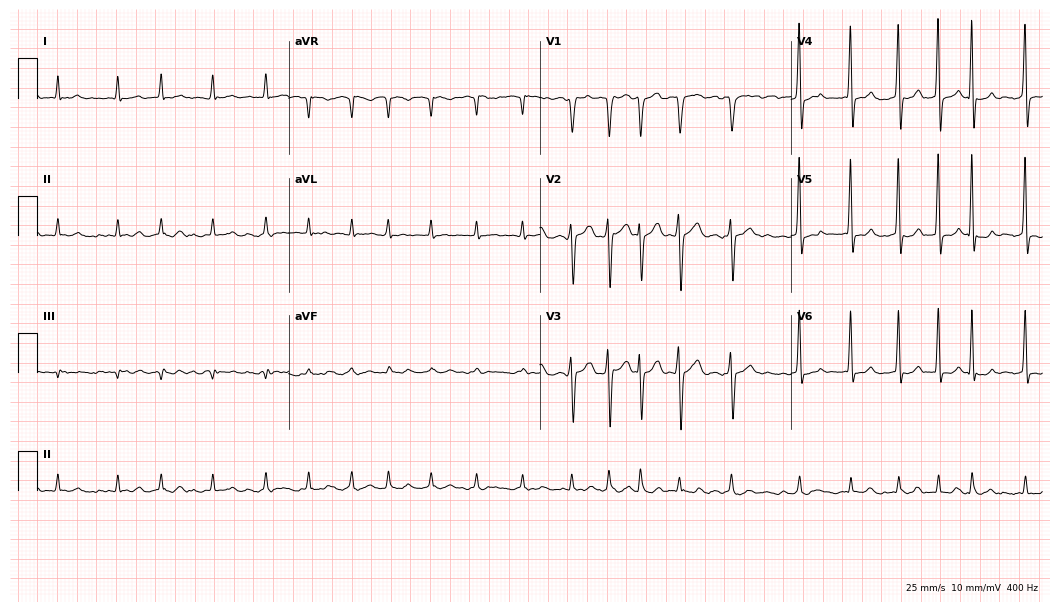
12-lead ECG (10.2-second recording at 400 Hz) from a male, 63 years old. Screened for six findings — first-degree AV block, right bundle branch block (RBBB), left bundle branch block (LBBB), sinus bradycardia, atrial fibrillation (AF), sinus tachycardia — none is recorded. Only these six findings were labelled.